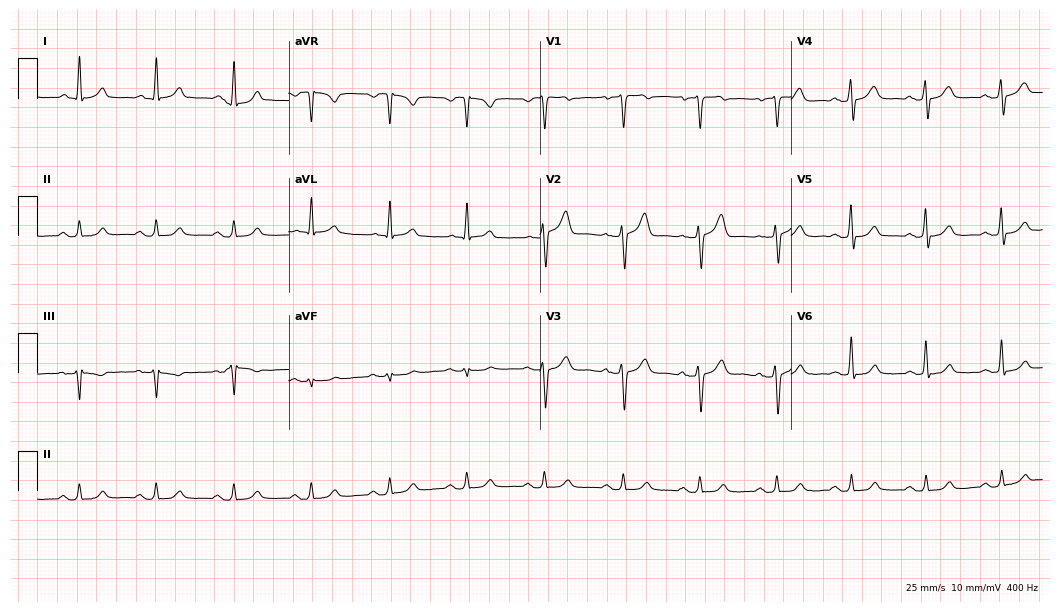
12-lead ECG (10.2-second recording at 400 Hz) from a 47-year-old male patient. Labelled as a normal ECG.